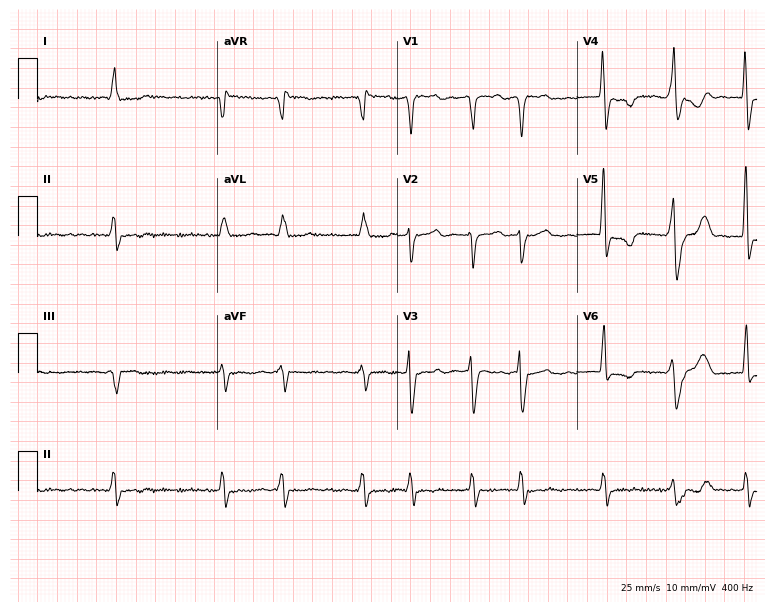
Electrocardiogram, a female patient, 81 years old. Interpretation includes left bundle branch block, atrial fibrillation.